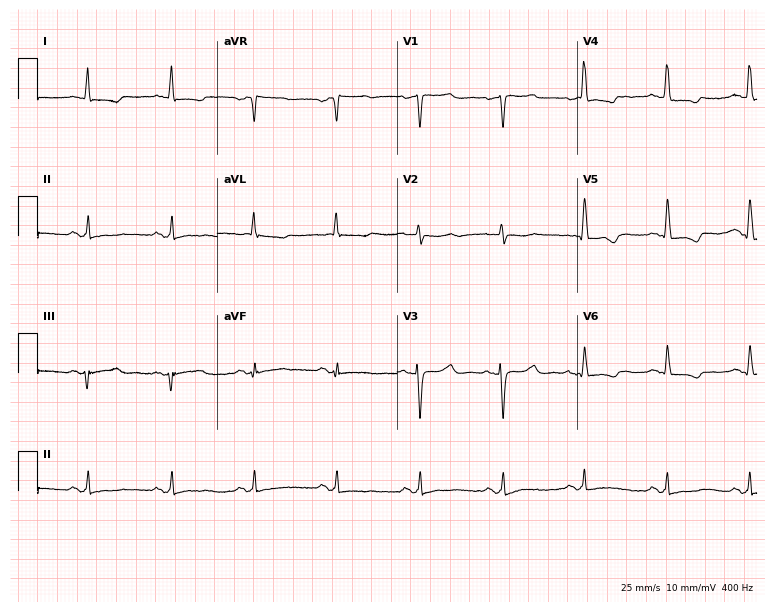
12-lead ECG from a woman, 83 years old. No first-degree AV block, right bundle branch block (RBBB), left bundle branch block (LBBB), sinus bradycardia, atrial fibrillation (AF) or sinus tachycardia recorded for this tracing.